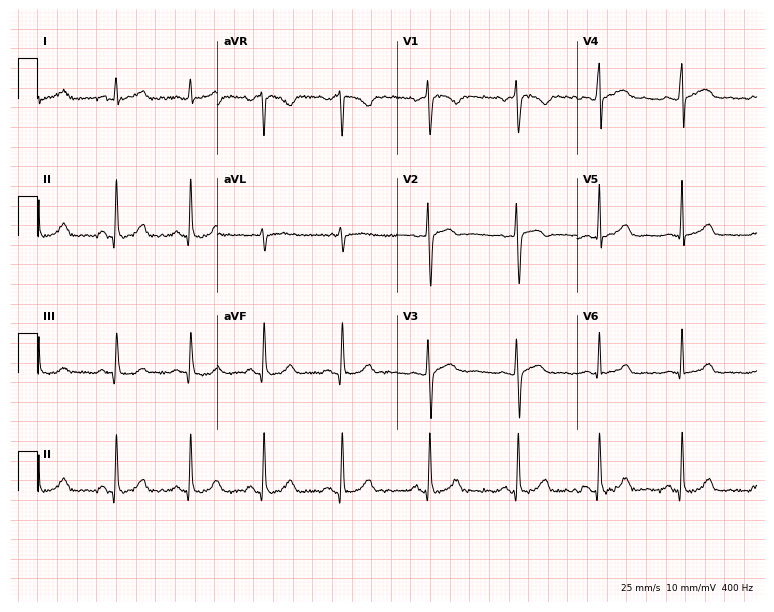
Resting 12-lead electrocardiogram (7.3-second recording at 400 Hz). Patient: a woman, 33 years old. None of these six findings is recorded: first-degree AV block, right bundle branch block, left bundle branch block, sinus bradycardia, atrial fibrillation, sinus tachycardia.